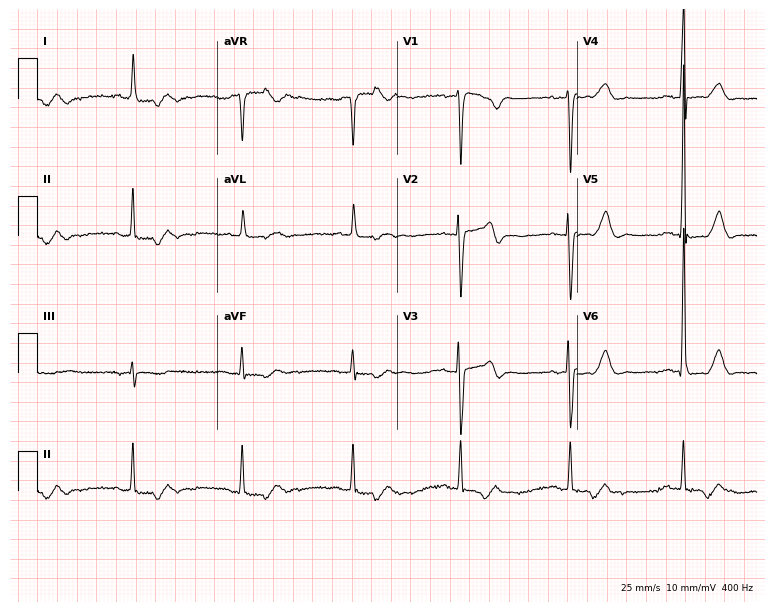
Electrocardiogram, a male, 43 years old. Of the six screened findings (first-degree AV block, right bundle branch block, left bundle branch block, sinus bradycardia, atrial fibrillation, sinus tachycardia), none is recorded. Other findings, if any, are not listed.